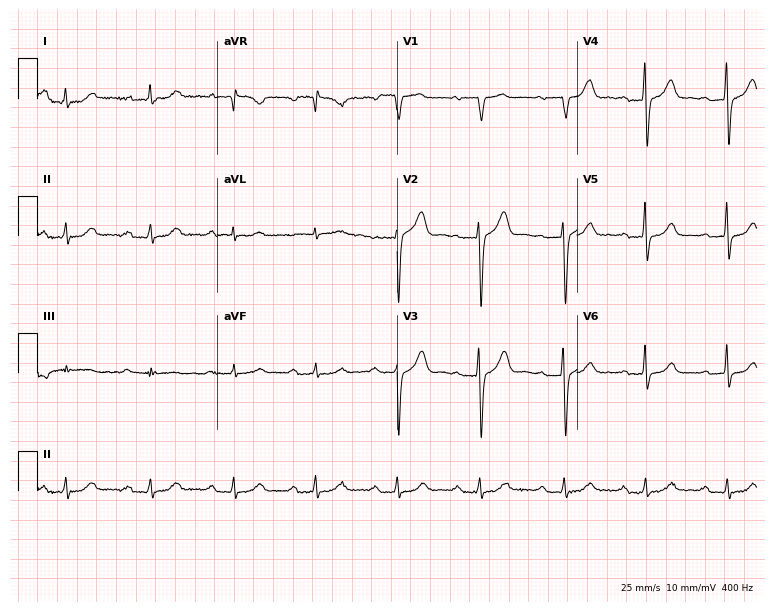
Electrocardiogram (7.3-second recording at 400 Hz), a man, 76 years old. Interpretation includes first-degree AV block.